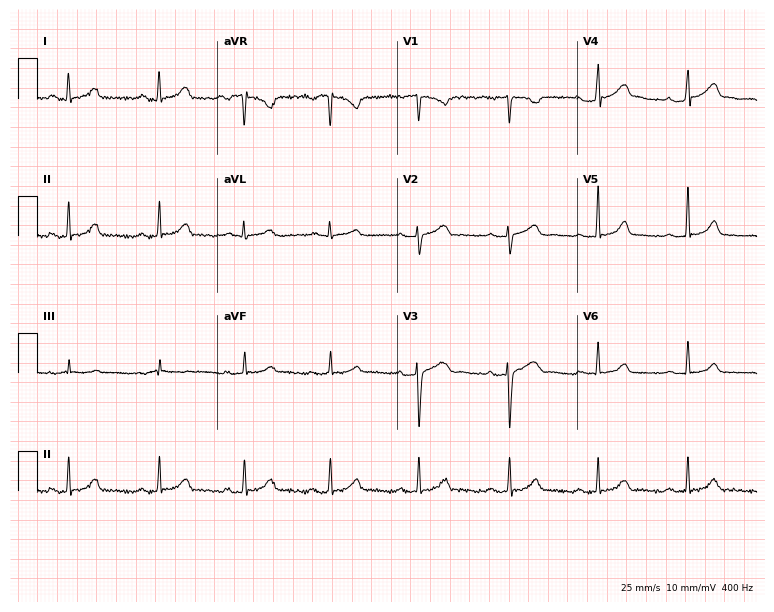
12-lead ECG from a 25-year-old female. No first-degree AV block, right bundle branch block, left bundle branch block, sinus bradycardia, atrial fibrillation or sinus tachycardia recorded for this tracing.